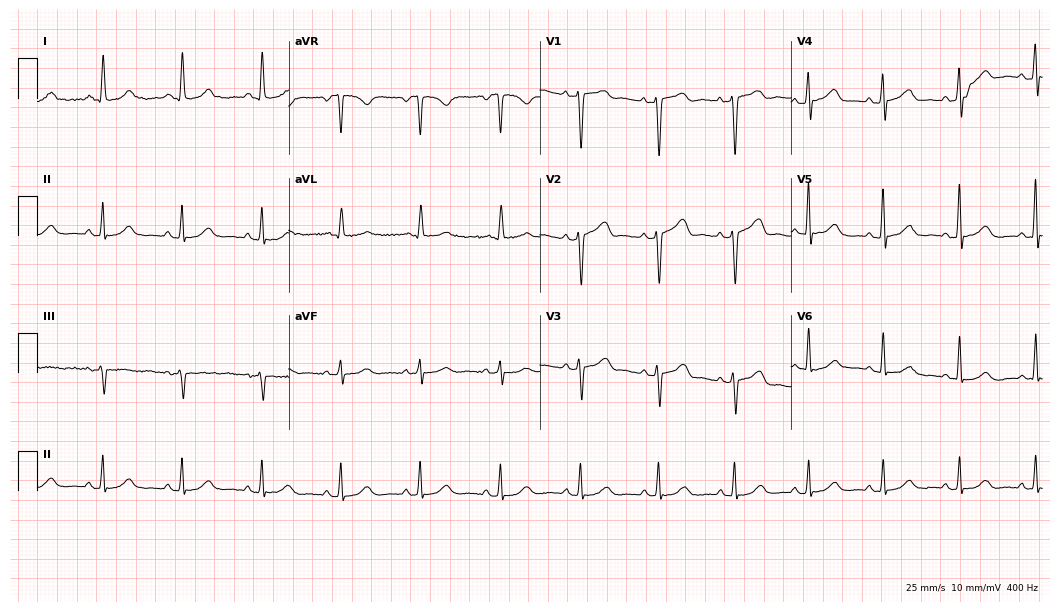
Resting 12-lead electrocardiogram (10.2-second recording at 400 Hz). Patient: a 58-year-old woman. Read as a normal ECG.